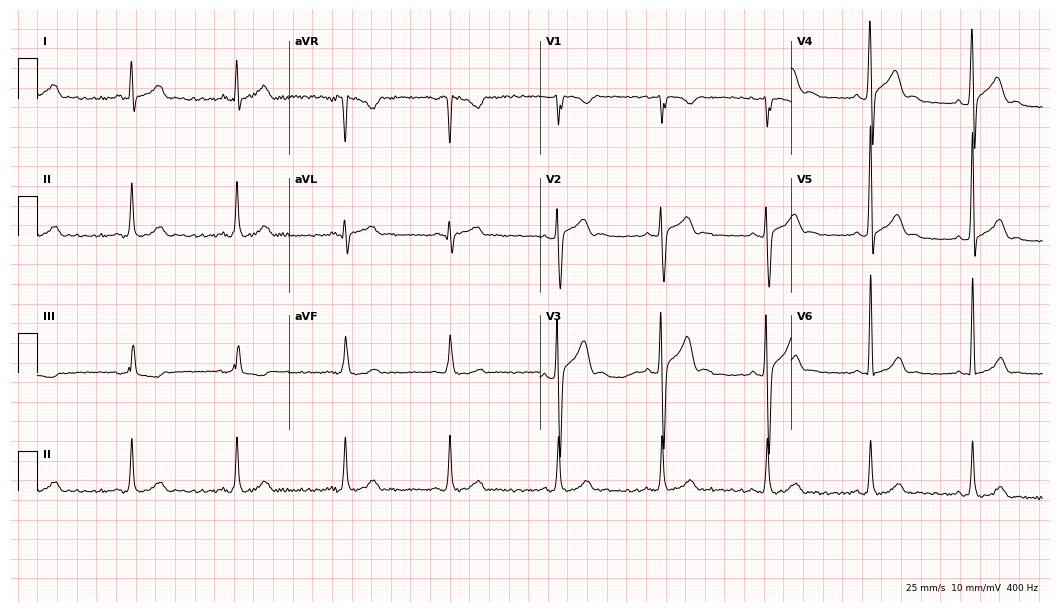
Electrocardiogram (10.2-second recording at 400 Hz), a male, 31 years old. Overall reading on record: normal ECG.